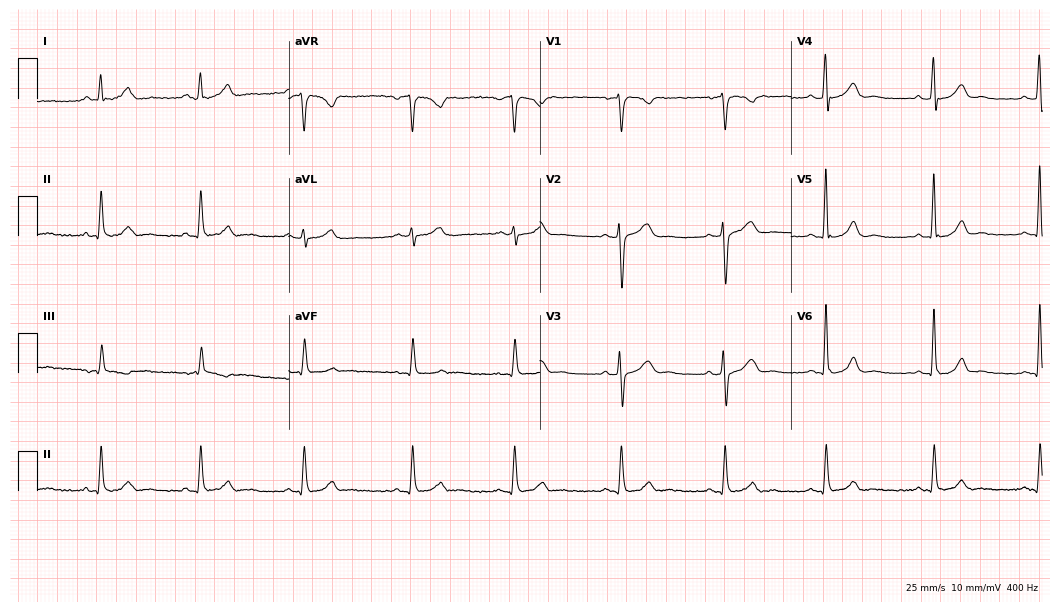
Electrocardiogram (10.2-second recording at 400 Hz), a man, 41 years old. Overall reading on record: normal ECG.